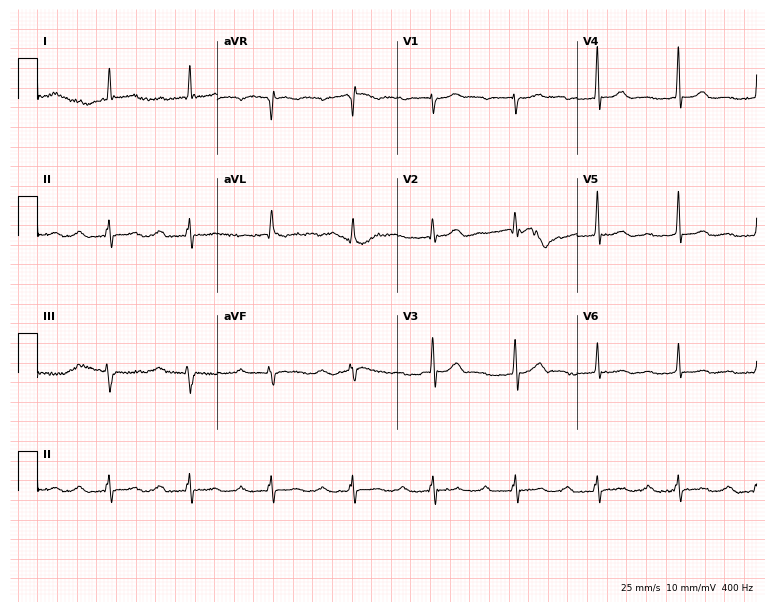
12-lead ECG (7.3-second recording at 400 Hz) from a male patient, 60 years old. Screened for six findings — first-degree AV block, right bundle branch block, left bundle branch block, sinus bradycardia, atrial fibrillation, sinus tachycardia — none is recorded. Other findings, if any, are not listed.